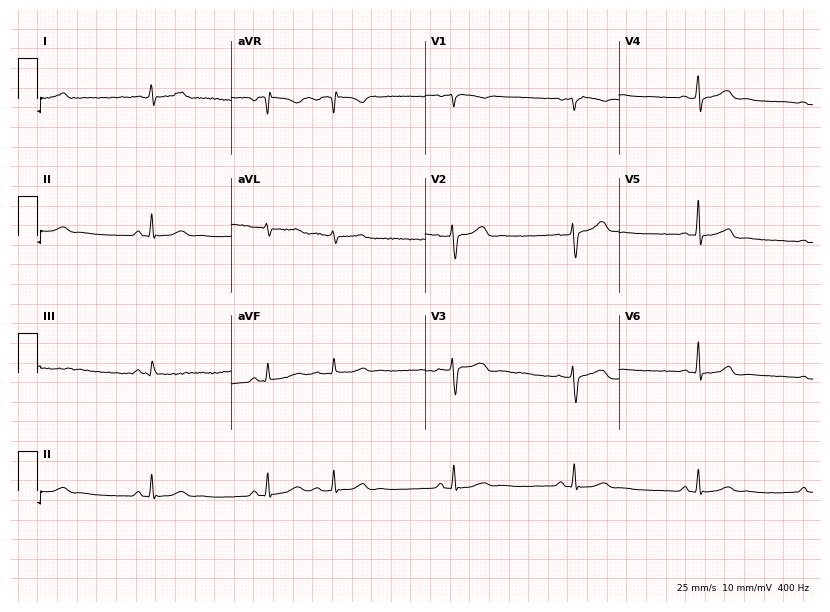
Resting 12-lead electrocardiogram. Patient: a female, 39 years old. None of these six findings is recorded: first-degree AV block, right bundle branch block (RBBB), left bundle branch block (LBBB), sinus bradycardia, atrial fibrillation (AF), sinus tachycardia.